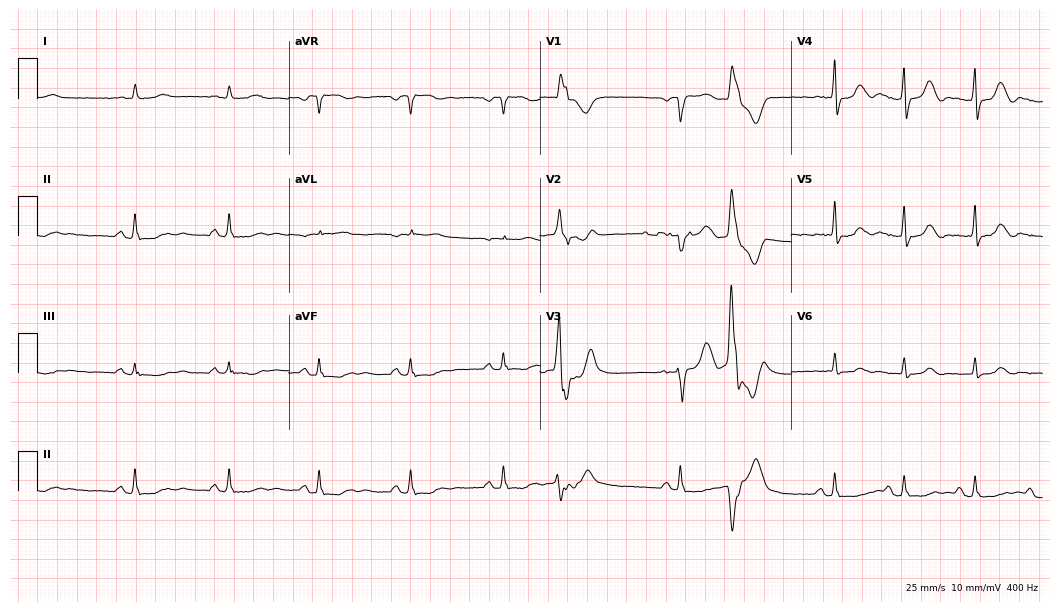
Resting 12-lead electrocardiogram (10.2-second recording at 400 Hz). Patient: a male, 79 years old. None of these six findings is recorded: first-degree AV block, right bundle branch block, left bundle branch block, sinus bradycardia, atrial fibrillation, sinus tachycardia.